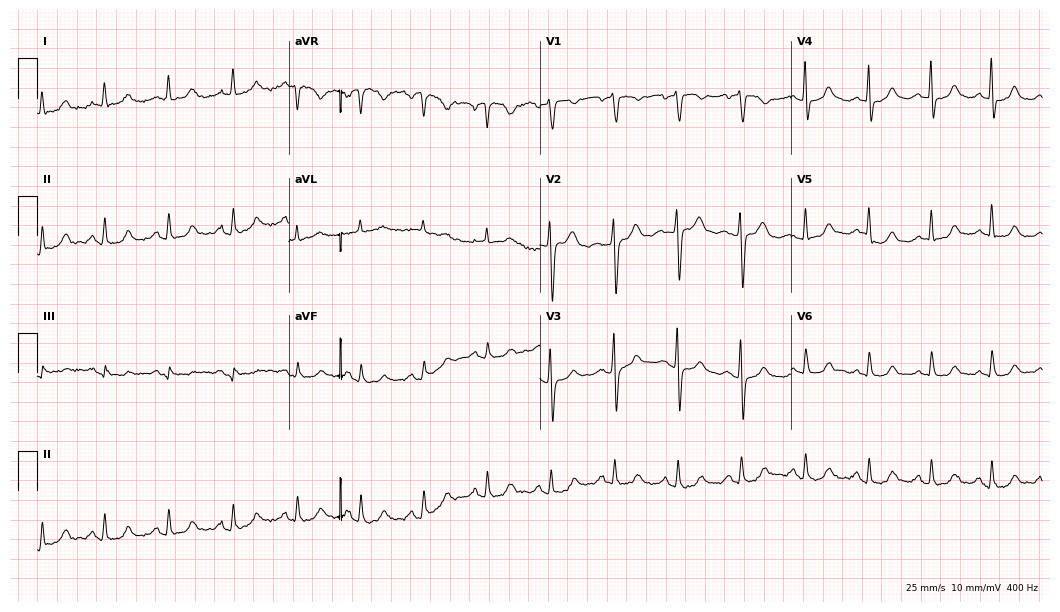
Standard 12-lead ECG recorded from a 61-year-old woman. Read as a normal ECG.